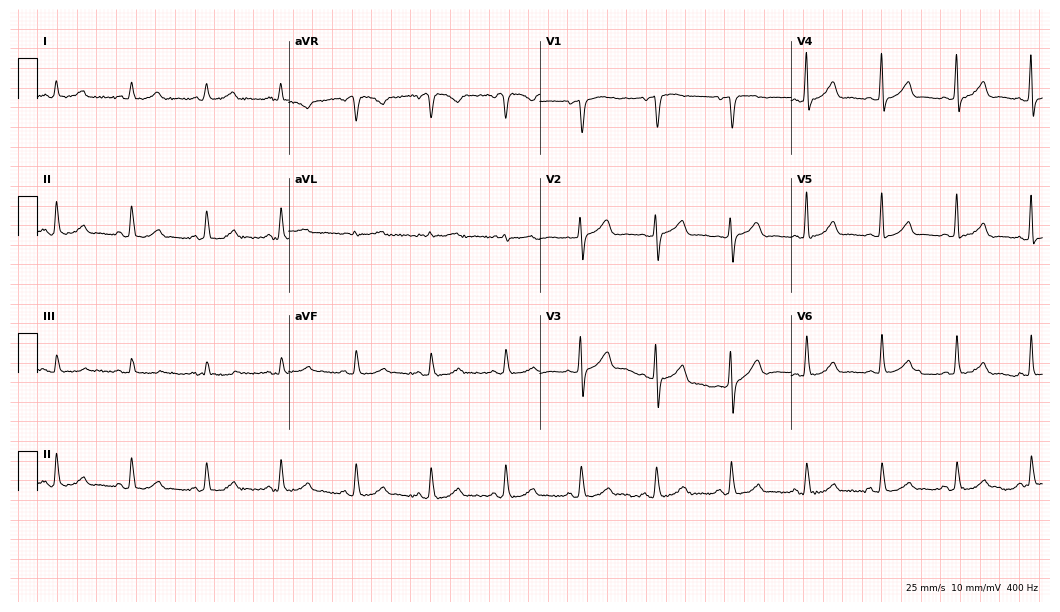
Standard 12-lead ECG recorded from a 61-year-old female patient. Read as a normal ECG.